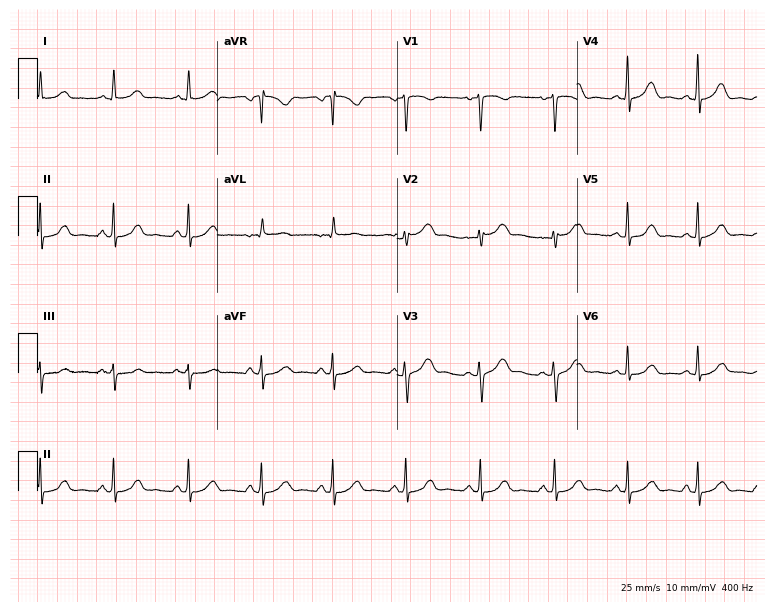
Resting 12-lead electrocardiogram (7.3-second recording at 400 Hz). Patient: a woman, 36 years old. Read as a normal ECG.